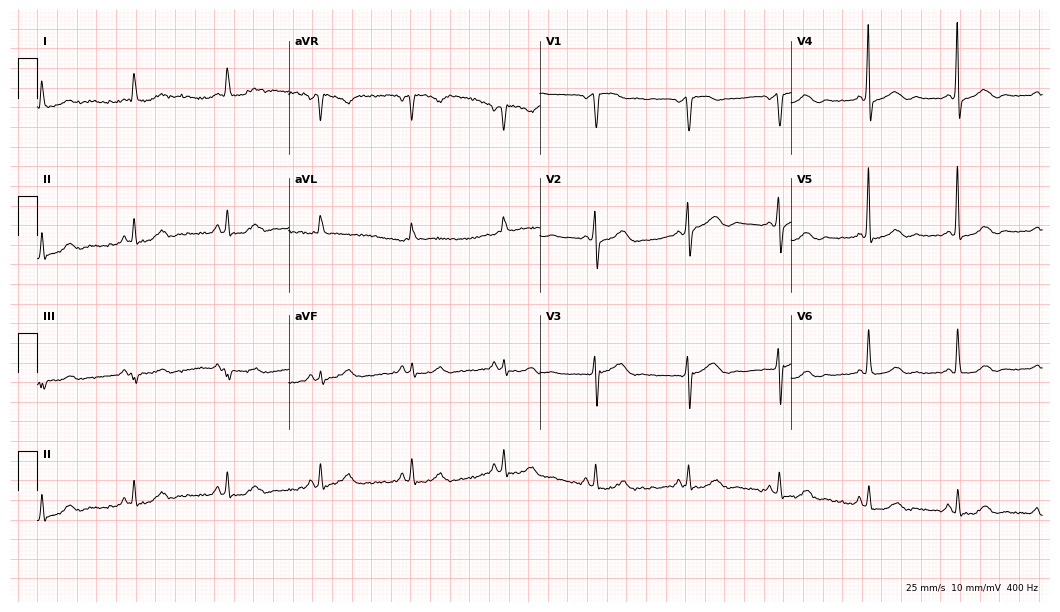
12-lead ECG (10.2-second recording at 400 Hz) from a male patient, 74 years old. Screened for six findings — first-degree AV block, right bundle branch block, left bundle branch block, sinus bradycardia, atrial fibrillation, sinus tachycardia — none is recorded. Only these six findings were labelled.